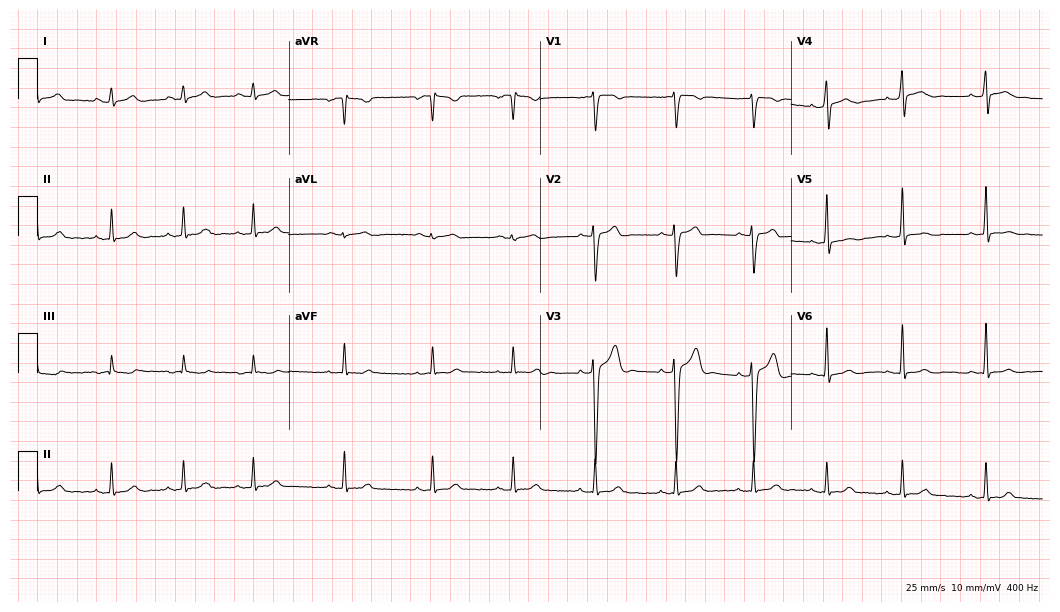
Standard 12-lead ECG recorded from a 26-year-old male patient (10.2-second recording at 400 Hz). None of these six findings is recorded: first-degree AV block, right bundle branch block, left bundle branch block, sinus bradycardia, atrial fibrillation, sinus tachycardia. Other findings, if any, are not listed.